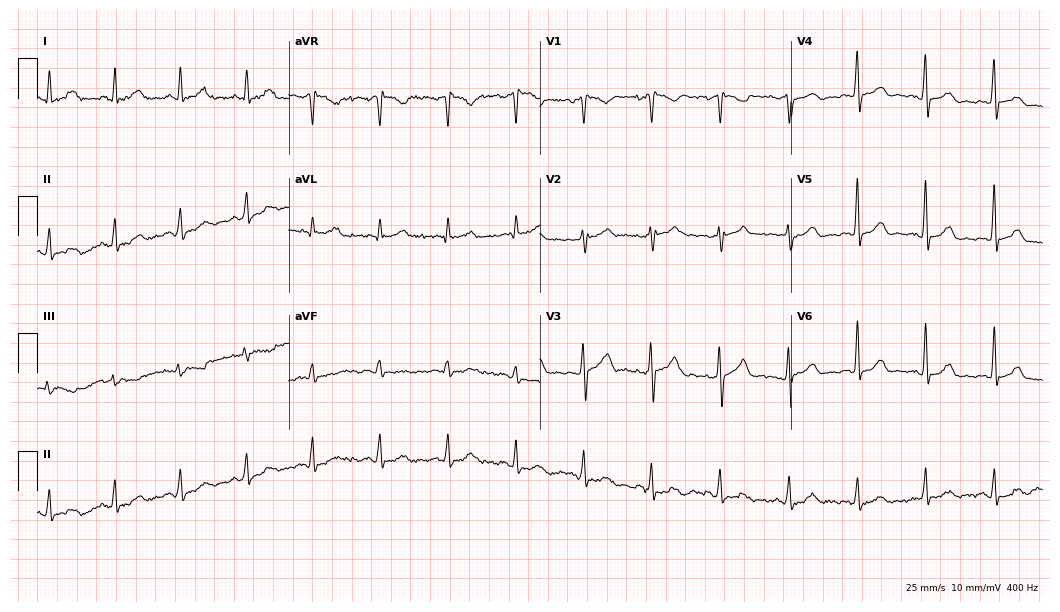
12-lead ECG from a female, 45 years old. Labelled as a normal ECG.